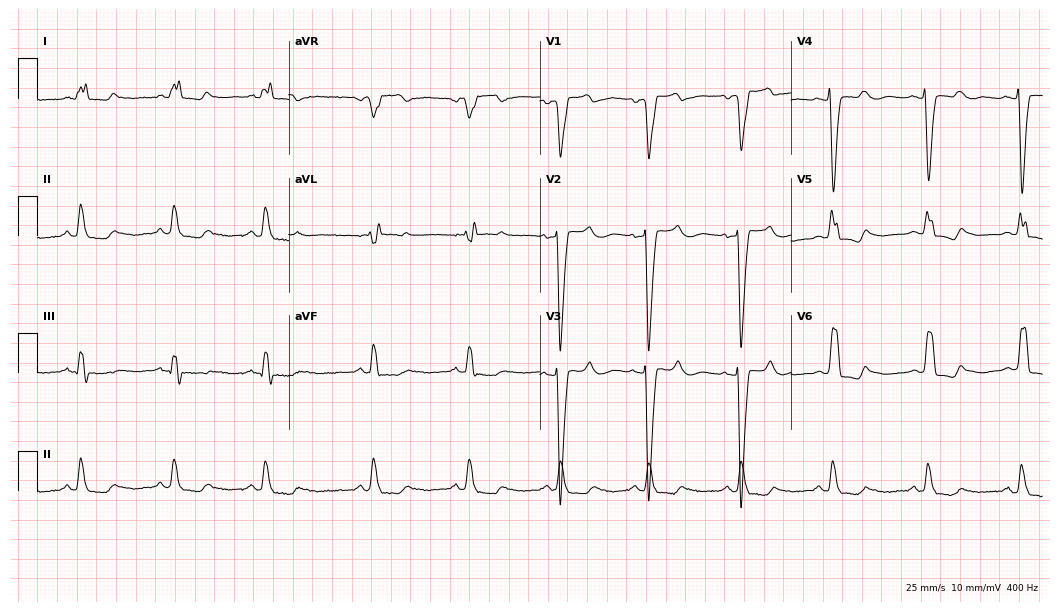
Resting 12-lead electrocardiogram. Patient: a female, 53 years old. The tracing shows left bundle branch block.